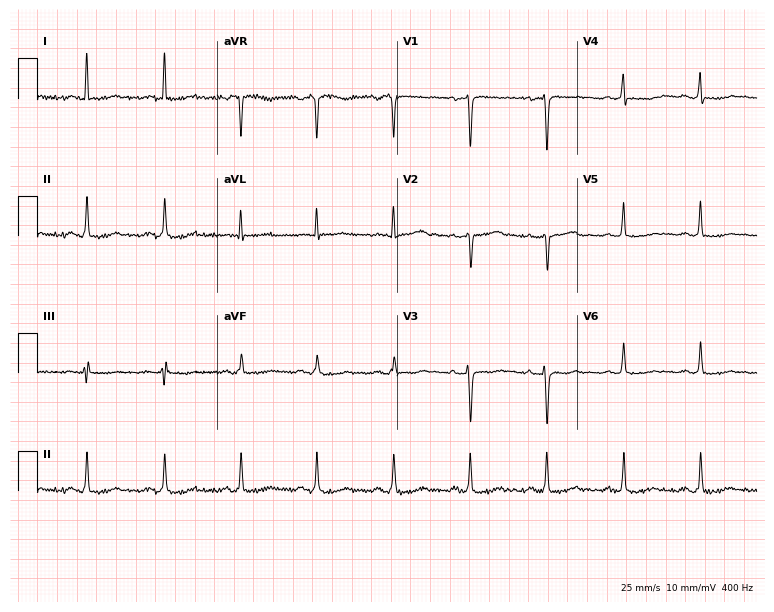
12-lead ECG from a 48-year-old female patient (7.3-second recording at 400 Hz). No first-degree AV block, right bundle branch block, left bundle branch block, sinus bradycardia, atrial fibrillation or sinus tachycardia recorded for this tracing.